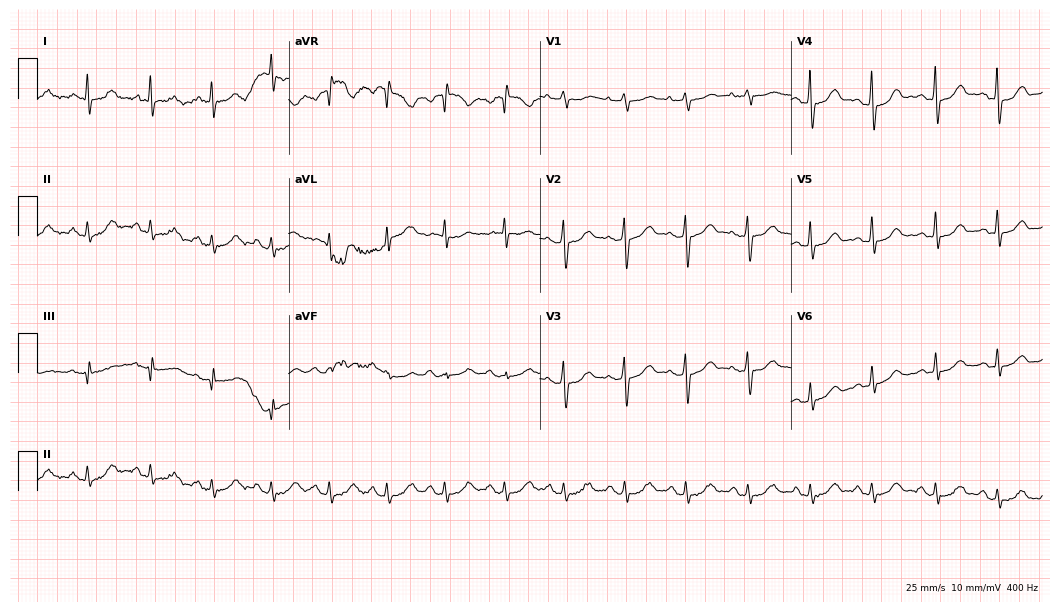
12-lead ECG from a 55-year-old female patient. No first-degree AV block, right bundle branch block, left bundle branch block, sinus bradycardia, atrial fibrillation or sinus tachycardia recorded for this tracing. Other findings, if any, are not listed.